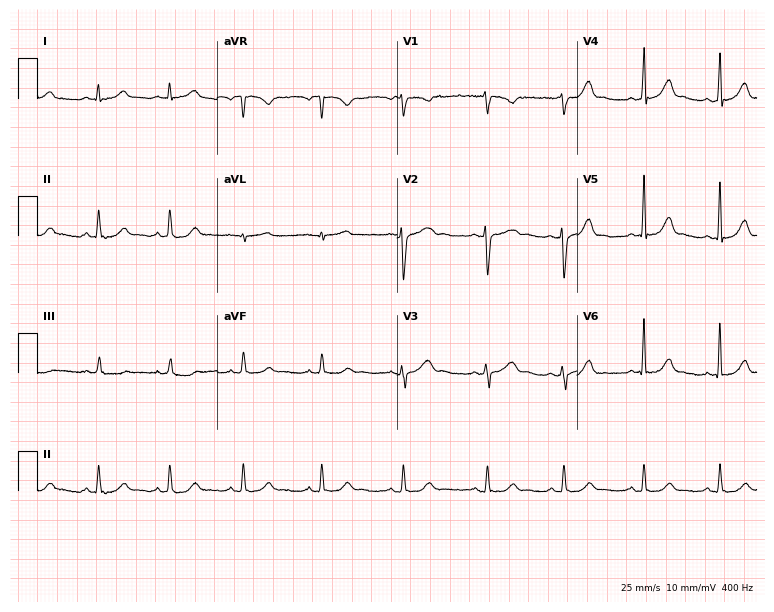
12-lead ECG from a female patient, 28 years old (7.3-second recording at 400 Hz). Recorded interpretation: within normal limits.